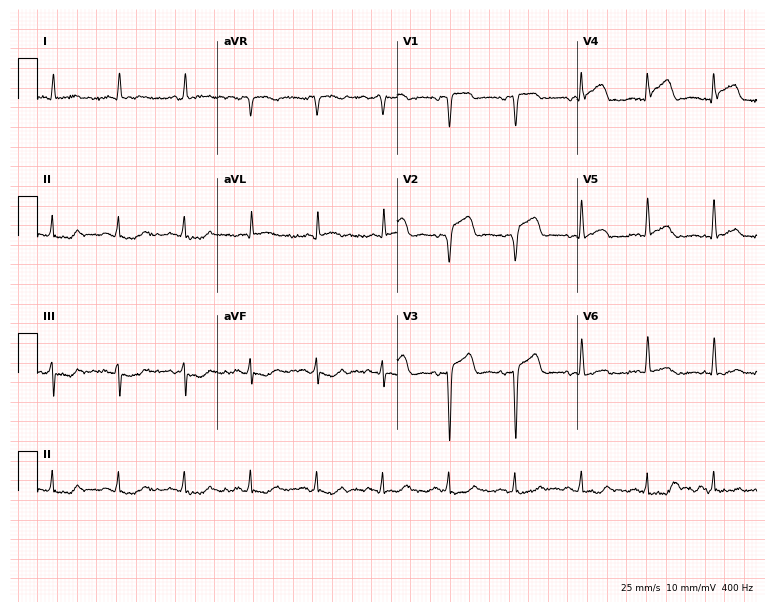
12-lead ECG from a woman, 67 years old (7.3-second recording at 400 Hz). No first-degree AV block, right bundle branch block, left bundle branch block, sinus bradycardia, atrial fibrillation or sinus tachycardia recorded for this tracing. Only these six findings were labelled.